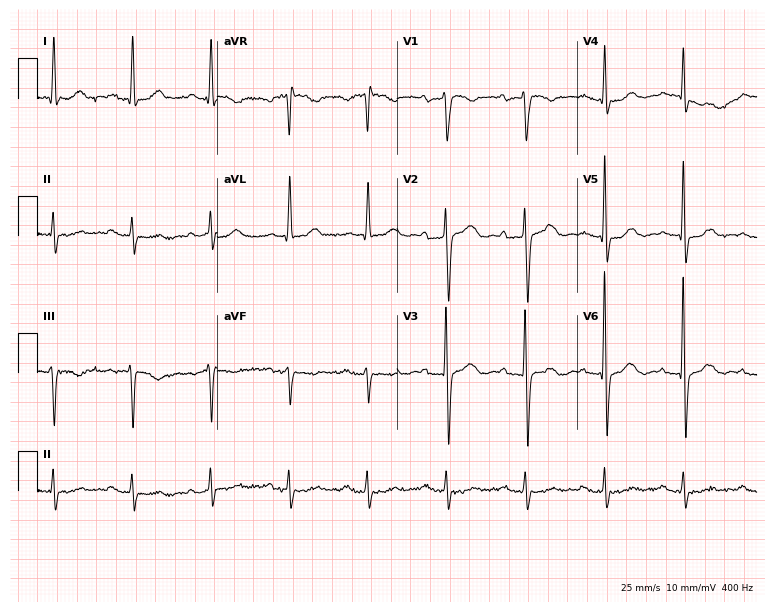
12-lead ECG from a 32-year-old male. Screened for six findings — first-degree AV block, right bundle branch block, left bundle branch block, sinus bradycardia, atrial fibrillation, sinus tachycardia — none is recorded. Only these six findings were labelled.